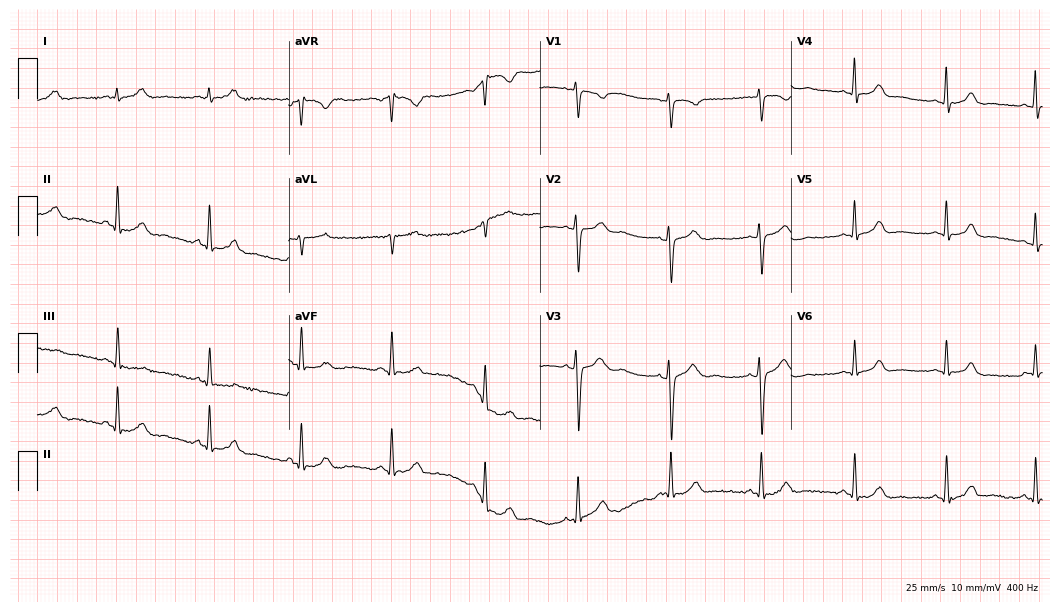
Electrocardiogram (10.2-second recording at 400 Hz), a female patient, 36 years old. Overall reading on record: normal ECG.